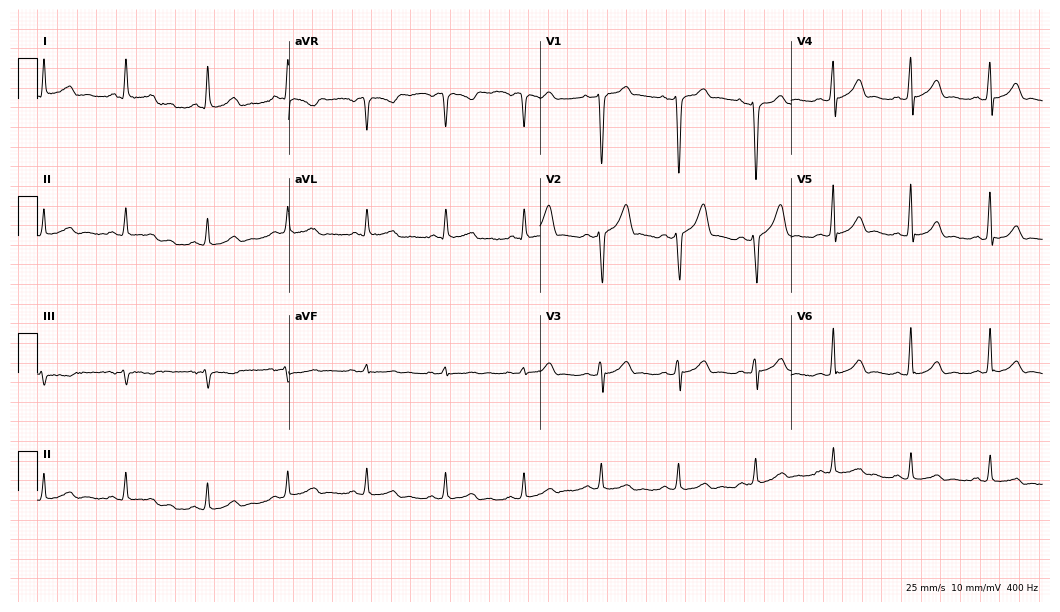
Resting 12-lead electrocardiogram (10.2-second recording at 400 Hz). Patient: a 34-year-old man. Read as a normal ECG.